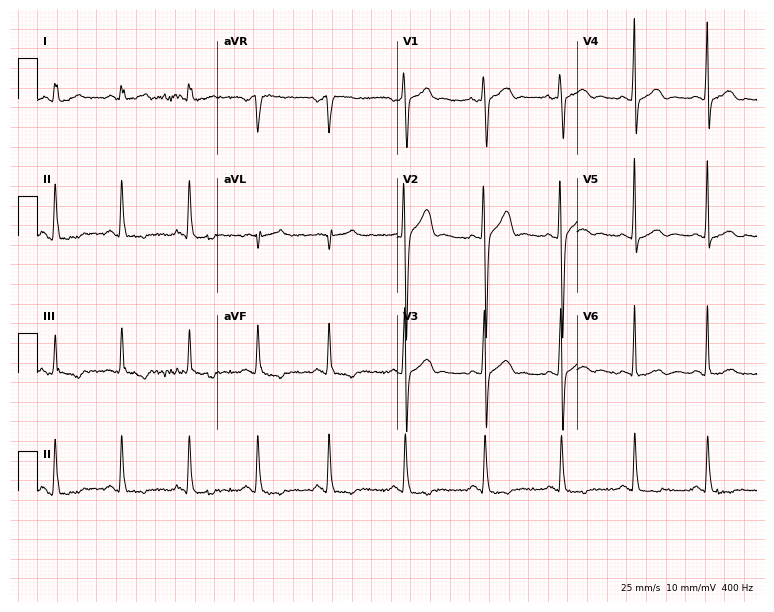
Resting 12-lead electrocardiogram. Patient: a man, 23 years old. None of these six findings is recorded: first-degree AV block, right bundle branch block (RBBB), left bundle branch block (LBBB), sinus bradycardia, atrial fibrillation (AF), sinus tachycardia.